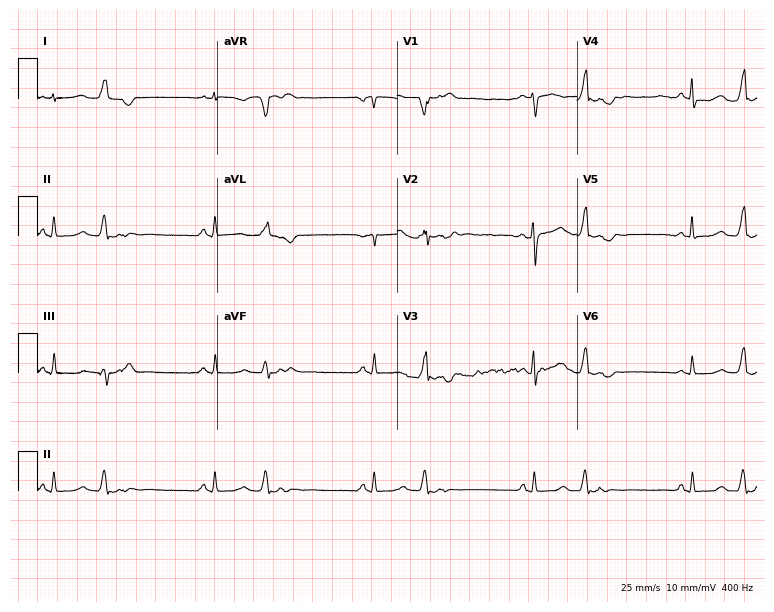
12-lead ECG from a female patient, 50 years old. No first-degree AV block, right bundle branch block (RBBB), left bundle branch block (LBBB), sinus bradycardia, atrial fibrillation (AF) or sinus tachycardia recorded for this tracing. Other findings, if any, are not listed.